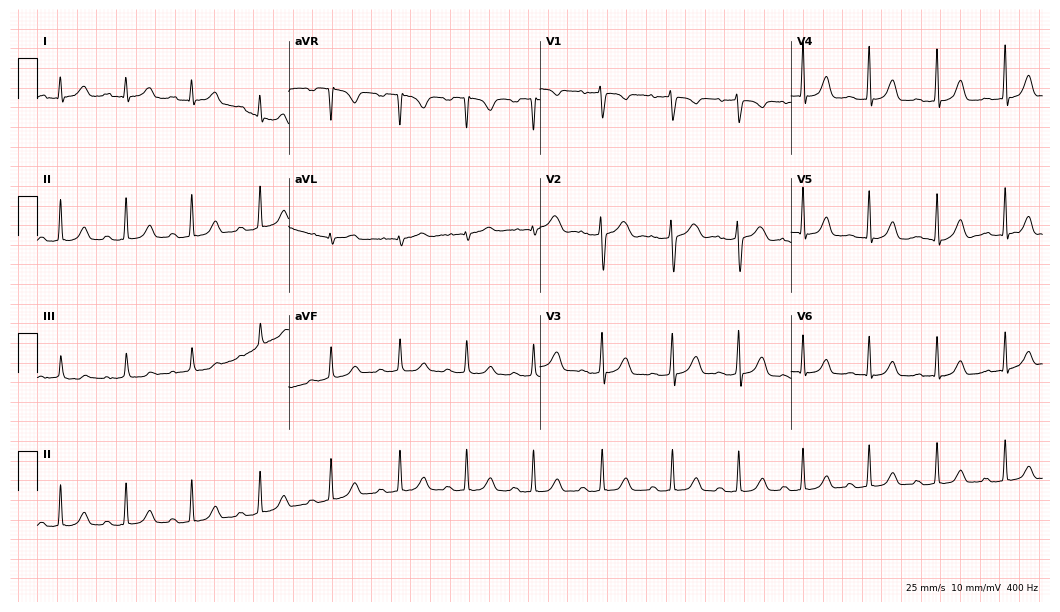
12-lead ECG from a female, 17 years old. Recorded interpretation: within normal limits.